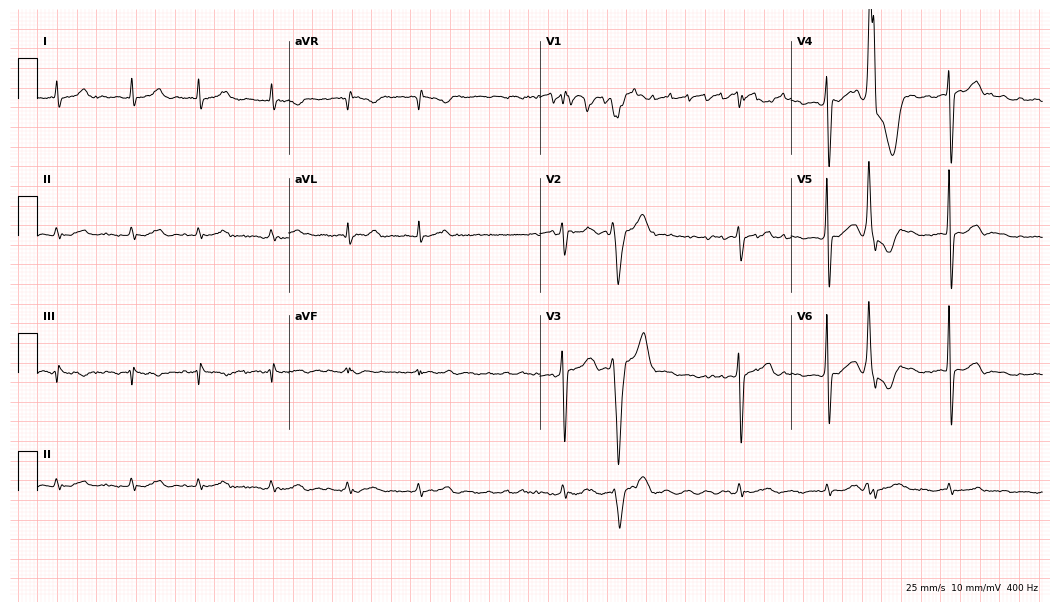
ECG — a 68-year-old male patient. Screened for six findings — first-degree AV block, right bundle branch block (RBBB), left bundle branch block (LBBB), sinus bradycardia, atrial fibrillation (AF), sinus tachycardia — none is recorded. Findings outside these six are not listed.